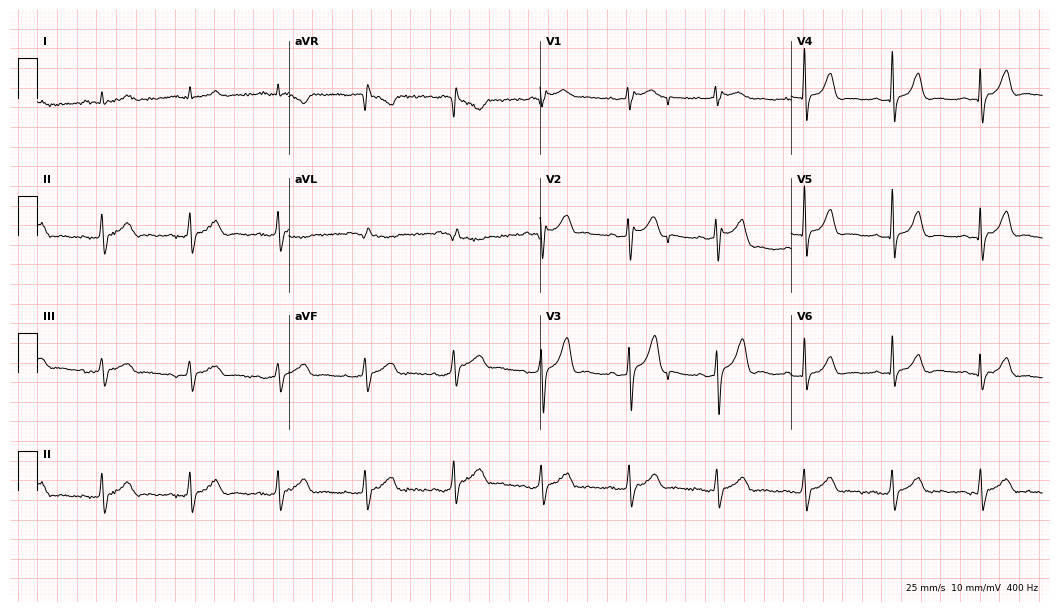
12-lead ECG from a female patient, 61 years old (10.2-second recording at 400 Hz). No first-degree AV block, right bundle branch block, left bundle branch block, sinus bradycardia, atrial fibrillation or sinus tachycardia recorded for this tracing.